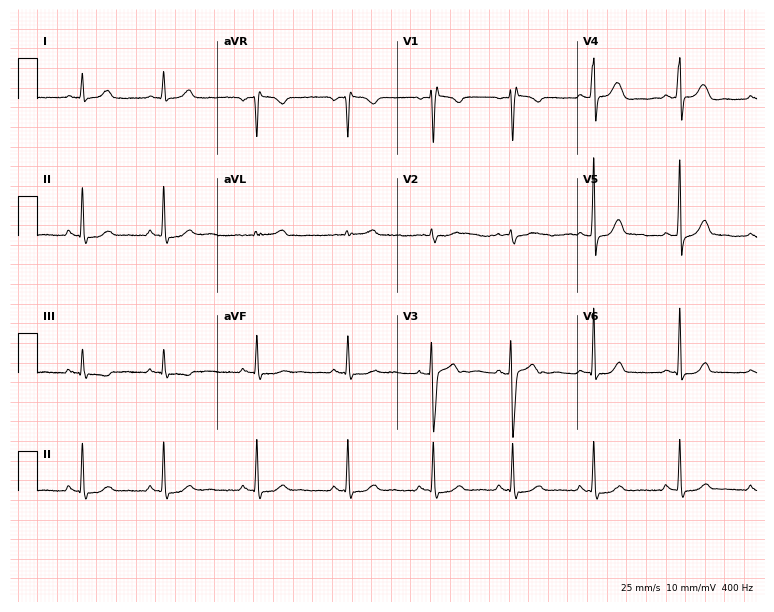
Resting 12-lead electrocardiogram. Patient: a 33-year-old female. None of these six findings is recorded: first-degree AV block, right bundle branch block, left bundle branch block, sinus bradycardia, atrial fibrillation, sinus tachycardia. Findings outside these six are not listed.